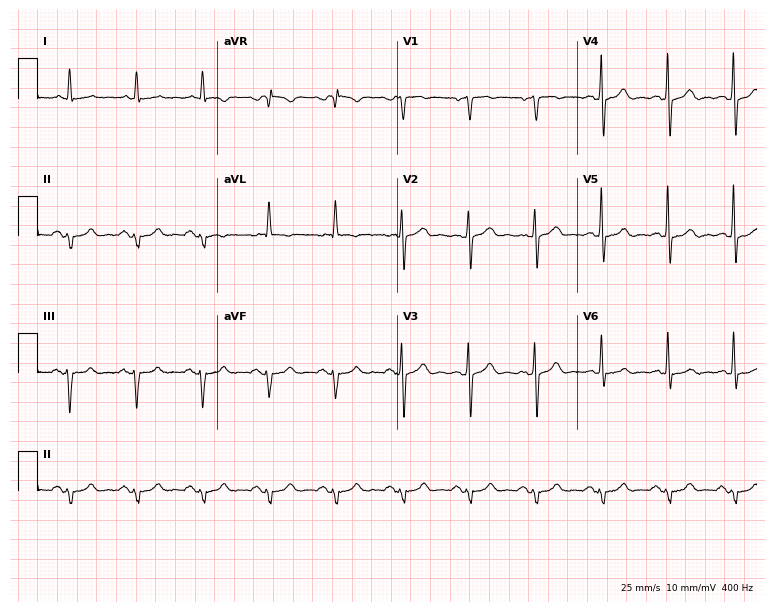
Standard 12-lead ECG recorded from a man, 71 years old. None of these six findings is recorded: first-degree AV block, right bundle branch block (RBBB), left bundle branch block (LBBB), sinus bradycardia, atrial fibrillation (AF), sinus tachycardia.